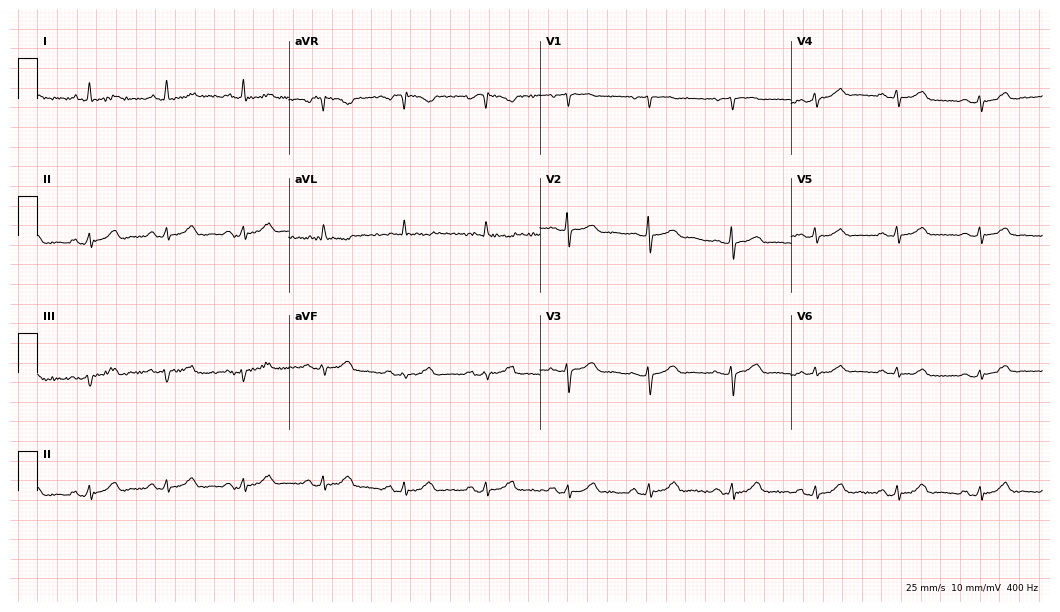
12-lead ECG from a 77-year-old female patient. Screened for six findings — first-degree AV block, right bundle branch block (RBBB), left bundle branch block (LBBB), sinus bradycardia, atrial fibrillation (AF), sinus tachycardia — none is recorded. Other findings, if any, are not listed.